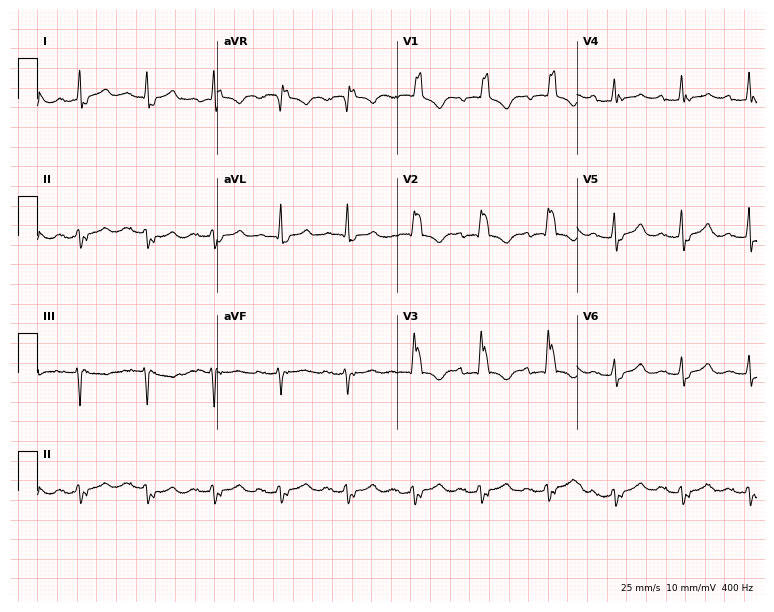
ECG (7.3-second recording at 400 Hz) — a 67-year-old woman. Findings include right bundle branch block (RBBB).